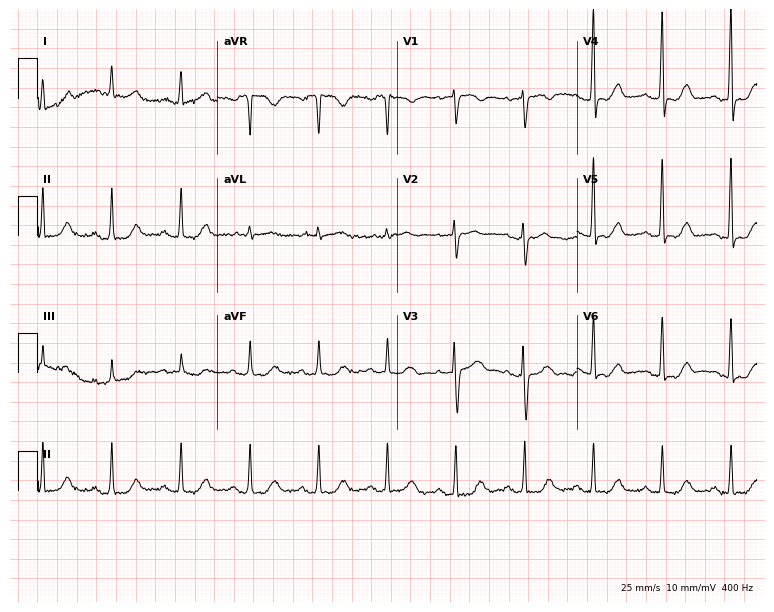
12-lead ECG (7.3-second recording at 400 Hz) from a 58-year-old woman. Screened for six findings — first-degree AV block, right bundle branch block, left bundle branch block, sinus bradycardia, atrial fibrillation, sinus tachycardia — none is recorded. Only these six findings were labelled.